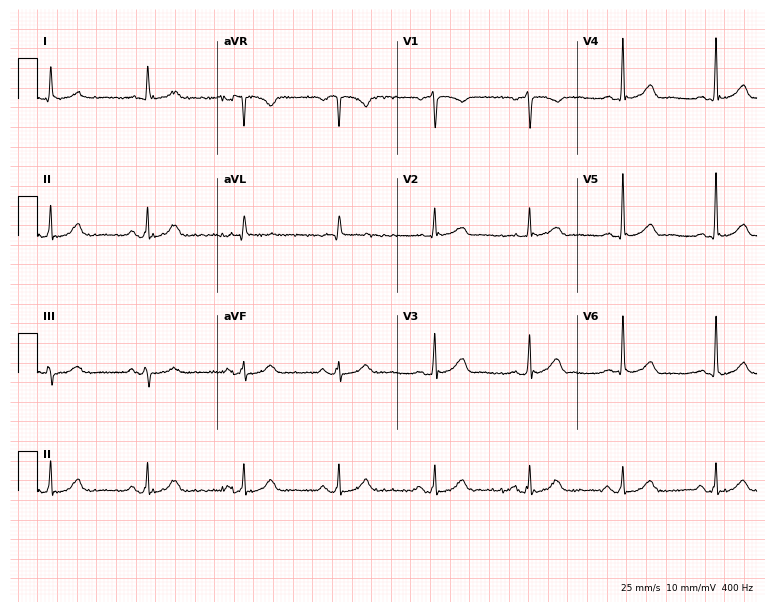
Resting 12-lead electrocardiogram. Patient: an 85-year-old female. Read as a normal ECG.